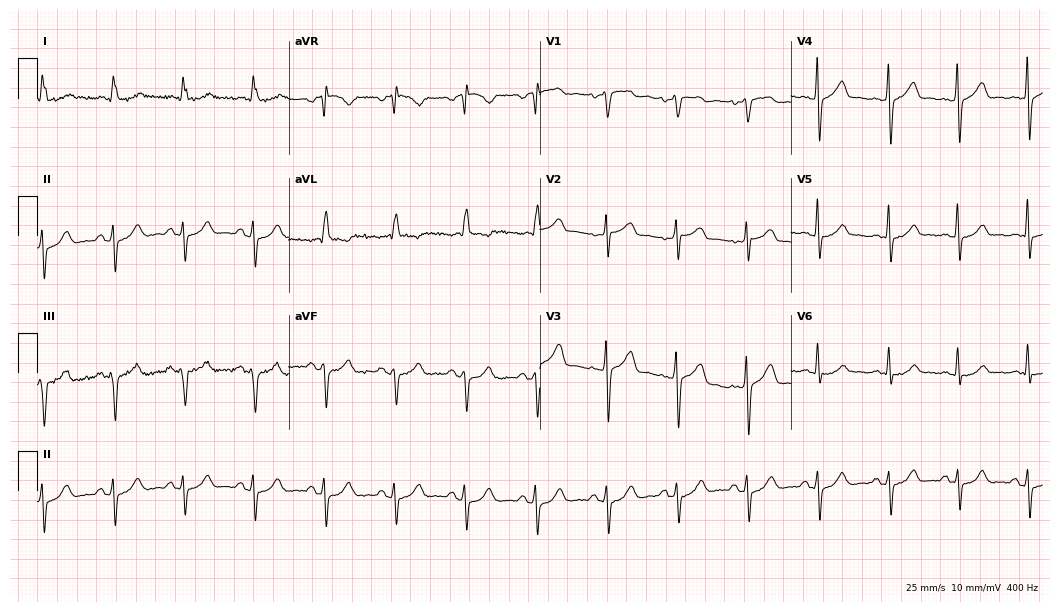
Resting 12-lead electrocardiogram. Patient: a female, 67 years old. None of these six findings is recorded: first-degree AV block, right bundle branch block, left bundle branch block, sinus bradycardia, atrial fibrillation, sinus tachycardia.